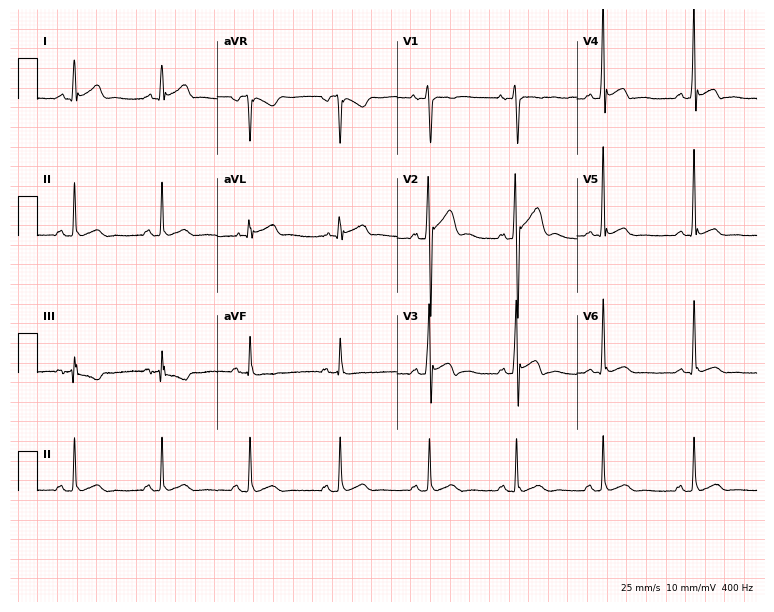
ECG (7.3-second recording at 400 Hz) — a 26-year-old male. Screened for six findings — first-degree AV block, right bundle branch block, left bundle branch block, sinus bradycardia, atrial fibrillation, sinus tachycardia — none is recorded. Findings outside these six are not listed.